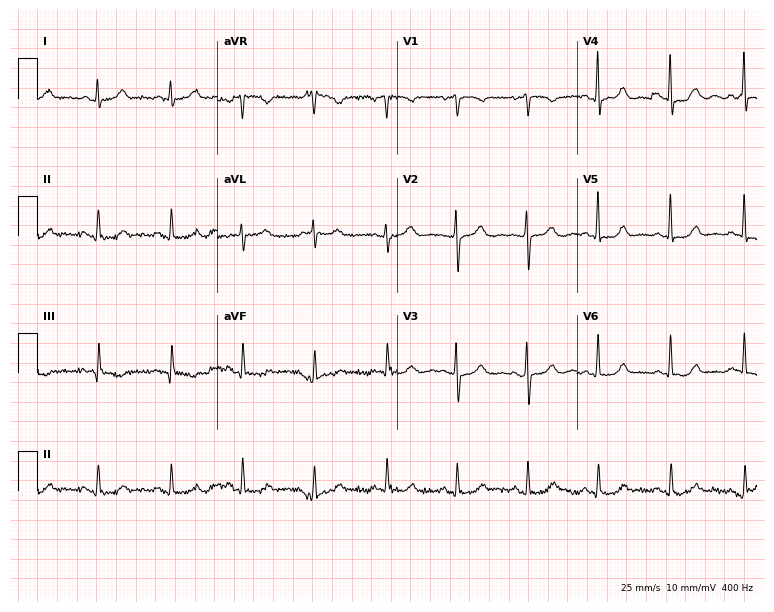
Electrocardiogram (7.3-second recording at 400 Hz), a woman, 68 years old. Overall reading on record: normal ECG.